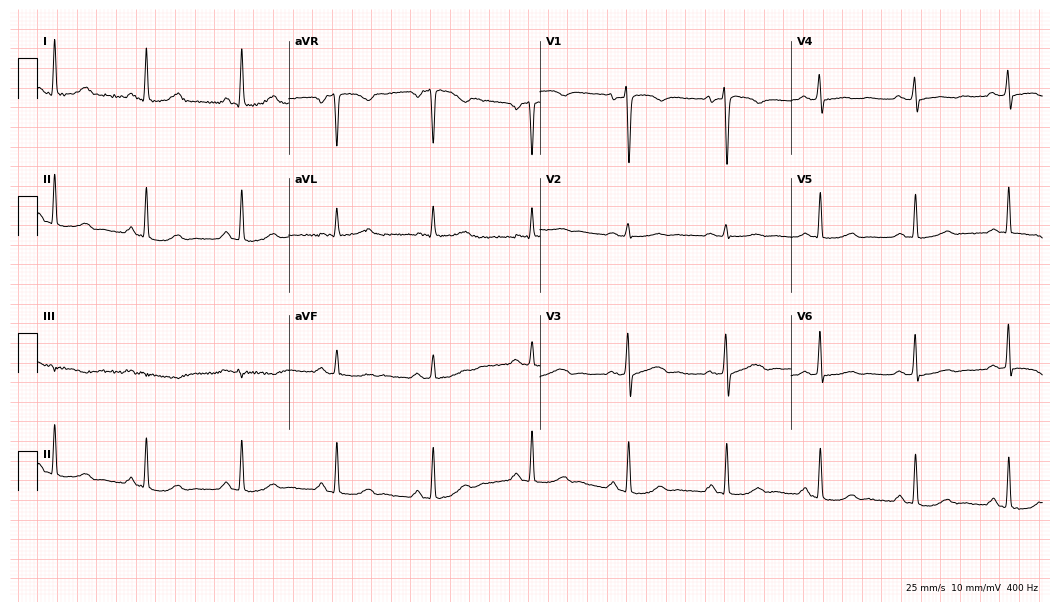
12-lead ECG from a female, 34 years old. Labelled as a normal ECG.